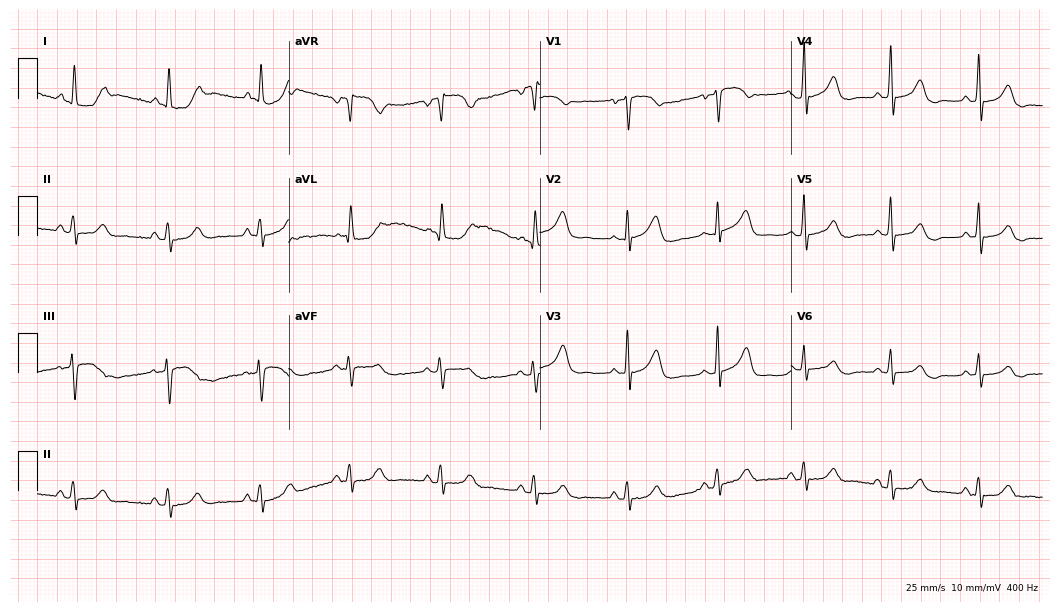
Resting 12-lead electrocardiogram (10.2-second recording at 400 Hz). Patient: a 57-year-old woman. None of these six findings is recorded: first-degree AV block, right bundle branch block, left bundle branch block, sinus bradycardia, atrial fibrillation, sinus tachycardia. Only these six findings were labelled.